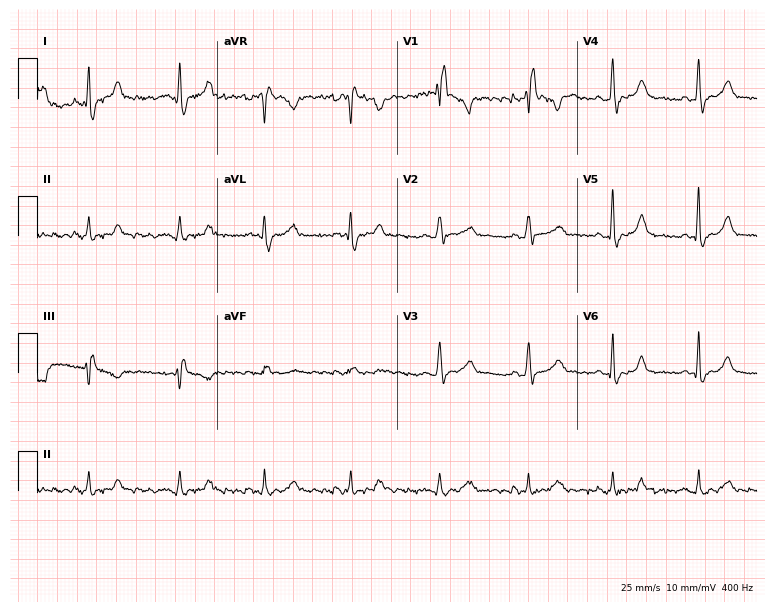
Standard 12-lead ECG recorded from a female patient, 49 years old (7.3-second recording at 400 Hz). The tracing shows right bundle branch block.